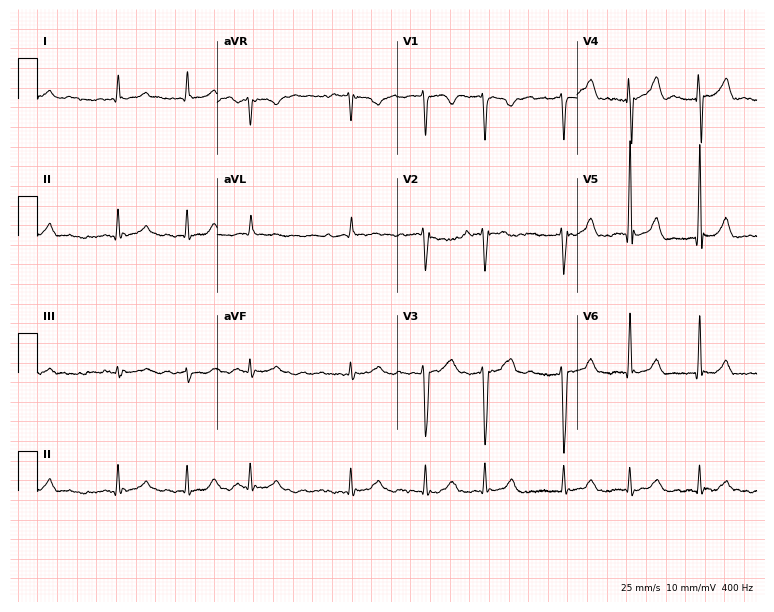
12-lead ECG from an 84-year-old man. Shows atrial fibrillation.